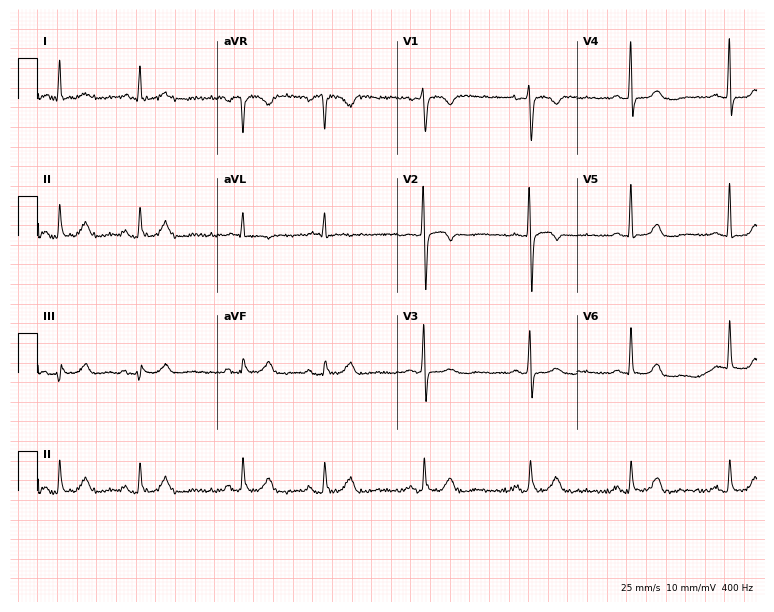
Standard 12-lead ECG recorded from a 71-year-old female patient (7.3-second recording at 400 Hz). None of these six findings is recorded: first-degree AV block, right bundle branch block, left bundle branch block, sinus bradycardia, atrial fibrillation, sinus tachycardia.